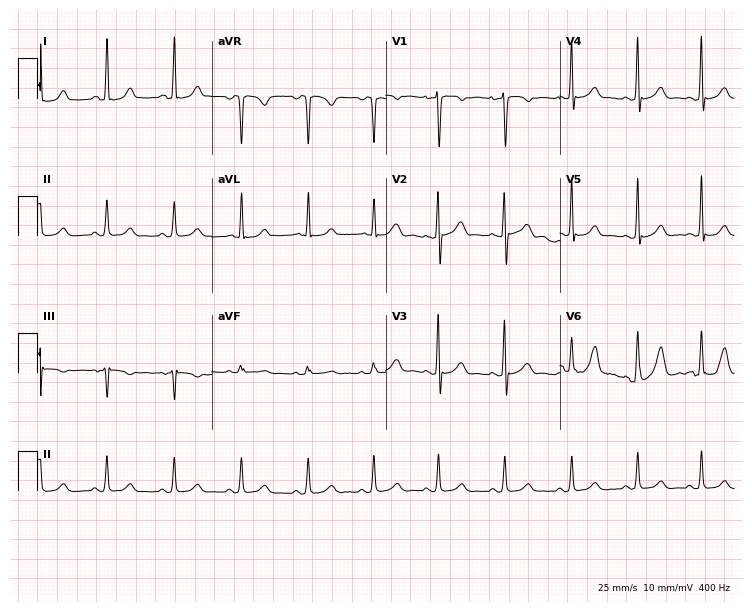
12-lead ECG (7.1-second recording at 400 Hz) from a female, 17 years old. Labelled as a normal ECG.